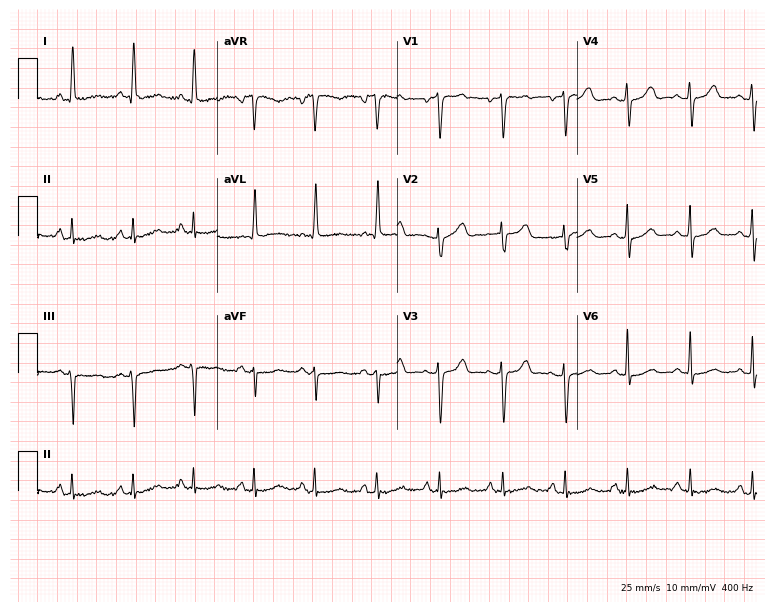
12-lead ECG (7.3-second recording at 400 Hz) from a female patient, 65 years old. Labelled as a normal ECG.